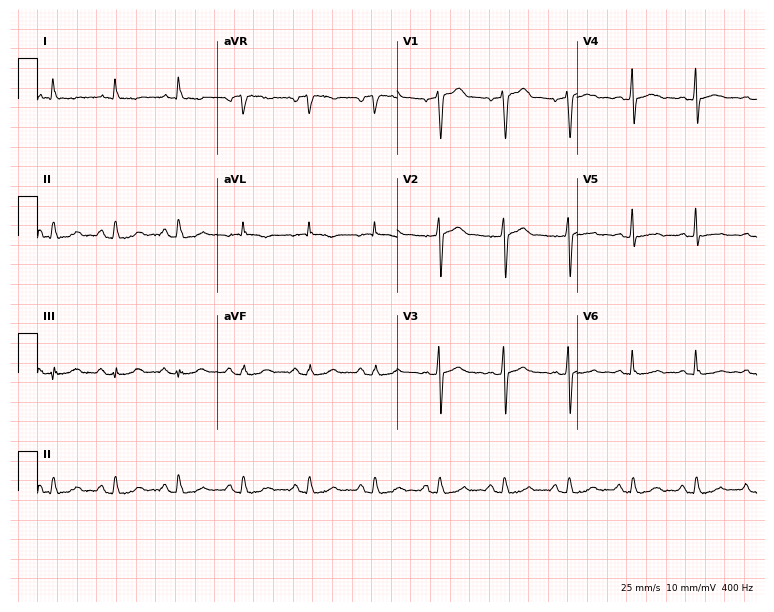
Standard 12-lead ECG recorded from a 70-year-old male patient. None of these six findings is recorded: first-degree AV block, right bundle branch block, left bundle branch block, sinus bradycardia, atrial fibrillation, sinus tachycardia. Other findings, if any, are not listed.